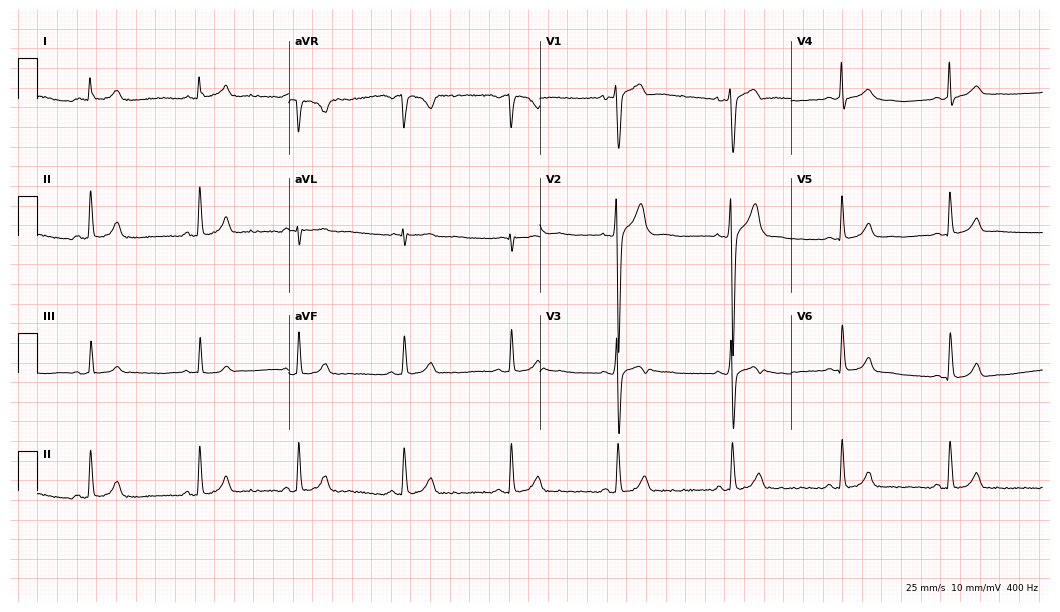
Resting 12-lead electrocardiogram. Patient: a man, 23 years old. Read as a normal ECG.